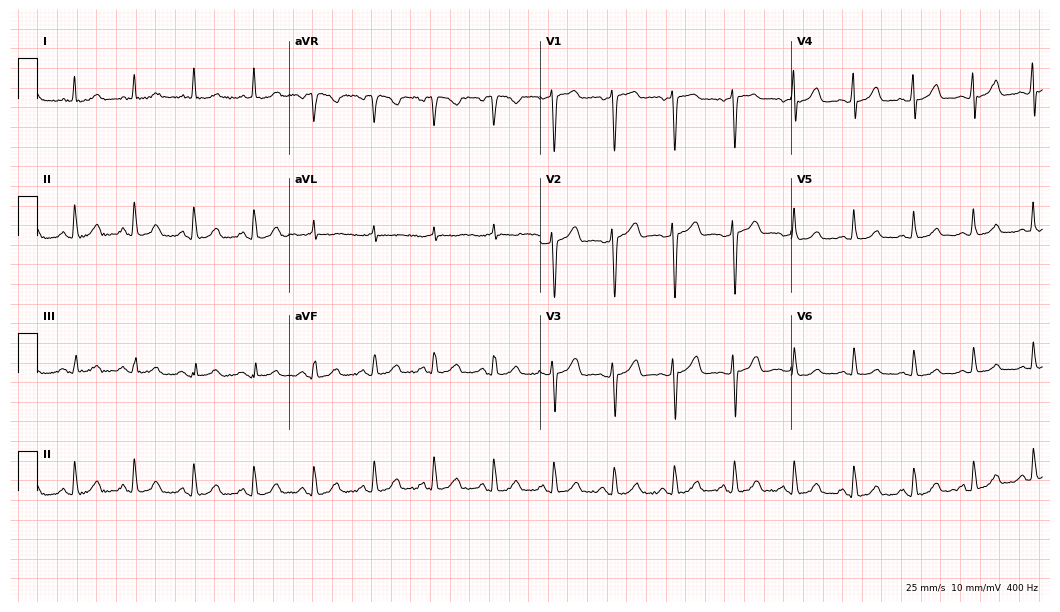
Standard 12-lead ECG recorded from a 65-year-old female patient (10.2-second recording at 400 Hz). Read as a normal ECG.